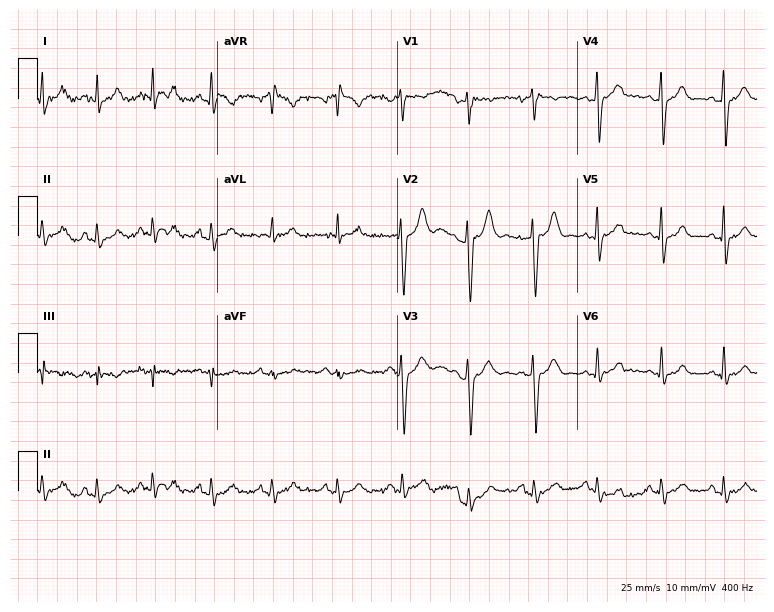
Resting 12-lead electrocardiogram. Patient: a 31-year-old male. Read as a normal ECG.